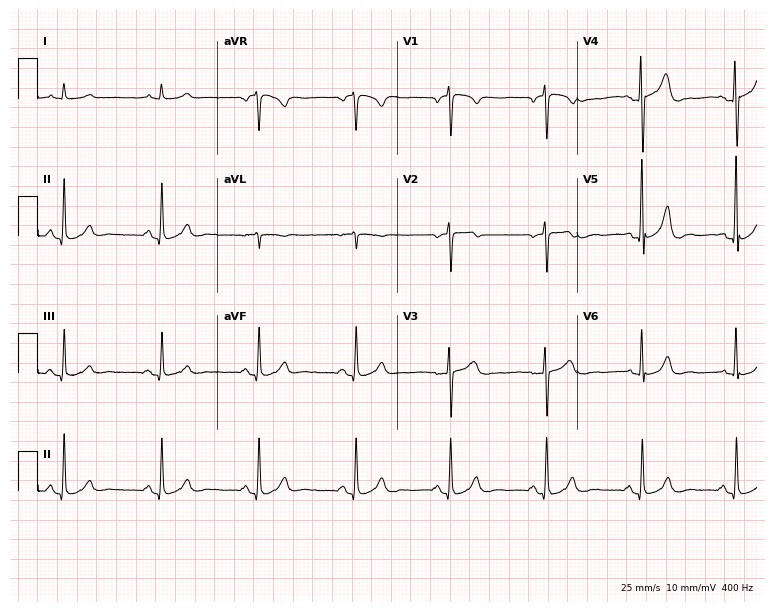
12-lead ECG from a male, 70 years old. Screened for six findings — first-degree AV block, right bundle branch block, left bundle branch block, sinus bradycardia, atrial fibrillation, sinus tachycardia — none is recorded. Findings outside these six are not listed.